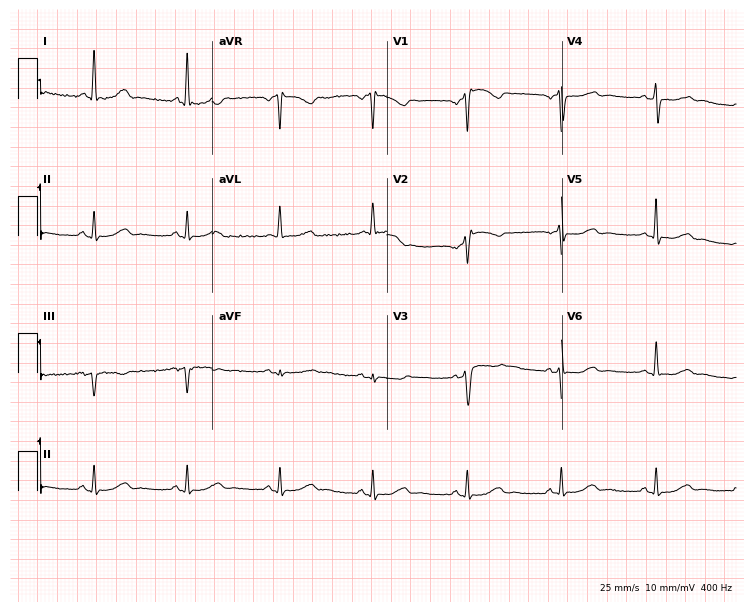
Resting 12-lead electrocardiogram. Patient: a woman, 73 years old. None of these six findings is recorded: first-degree AV block, right bundle branch block (RBBB), left bundle branch block (LBBB), sinus bradycardia, atrial fibrillation (AF), sinus tachycardia.